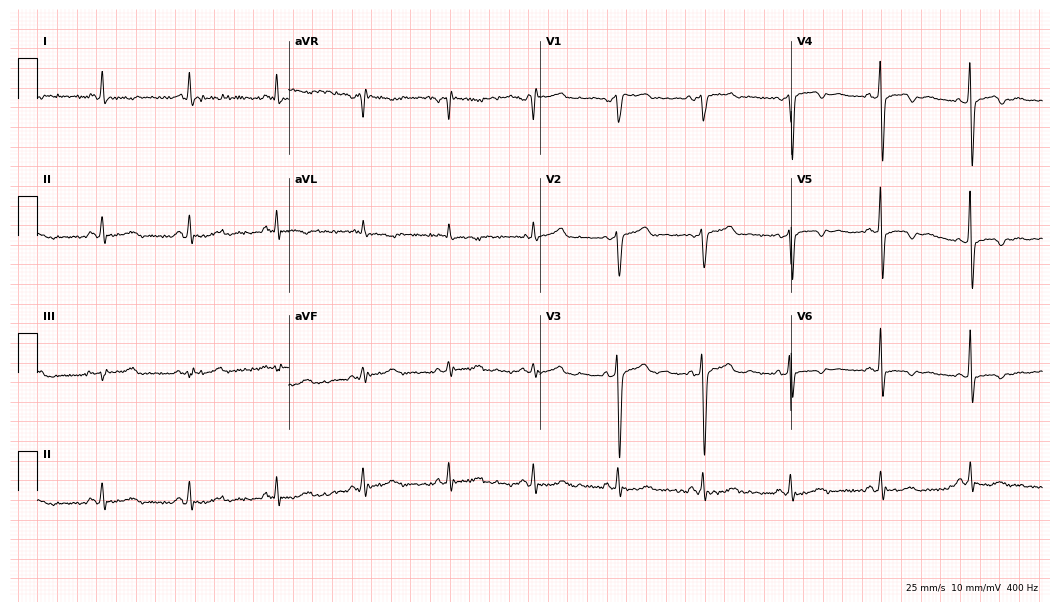
Standard 12-lead ECG recorded from a female patient, 57 years old. None of these six findings is recorded: first-degree AV block, right bundle branch block (RBBB), left bundle branch block (LBBB), sinus bradycardia, atrial fibrillation (AF), sinus tachycardia.